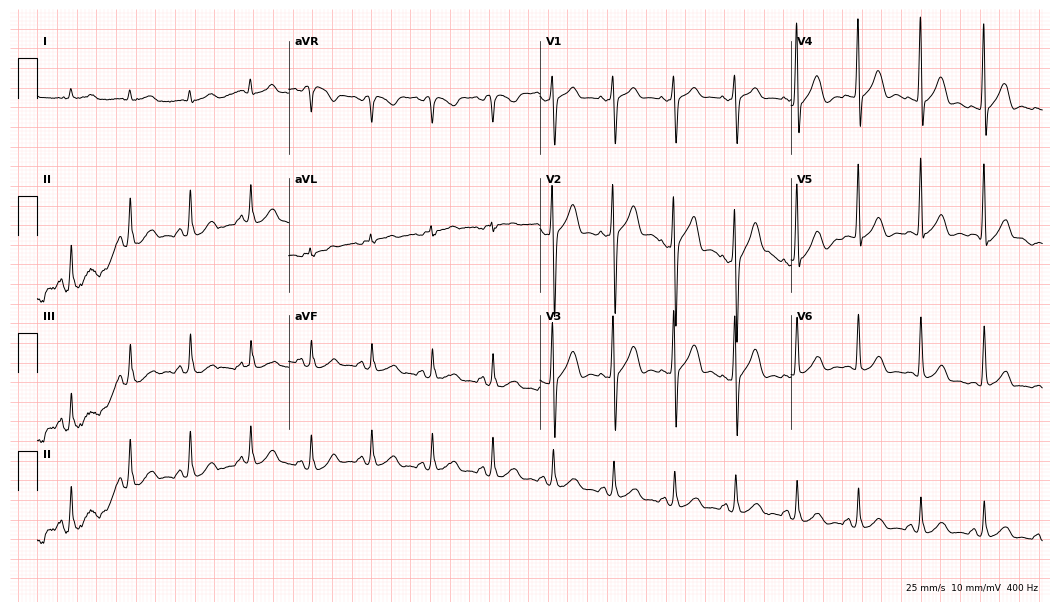
ECG (10.2-second recording at 400 Hz) — a 56-year-old male patient. Labelled as a normal ECG.